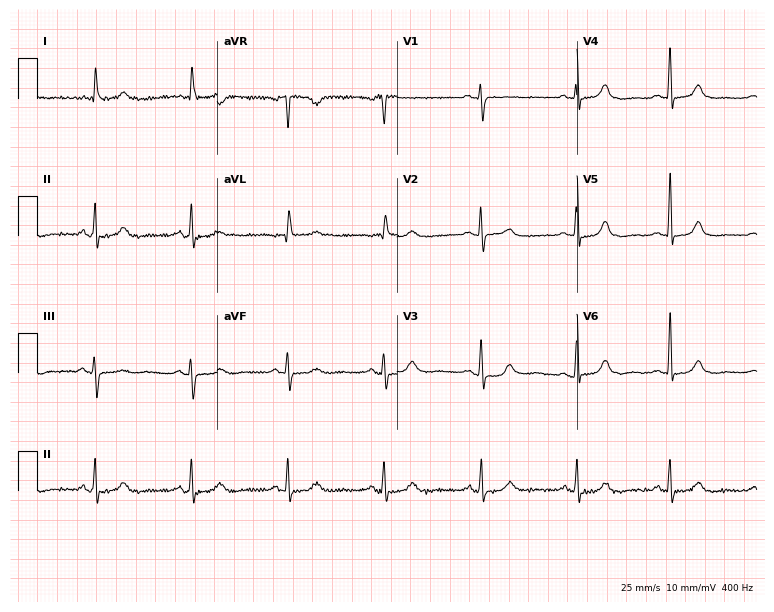
Standard 12-lead ECG recorded from a 67-year-old female patient (7.3-second recording at 400 Hz). Read as a normal ECG.